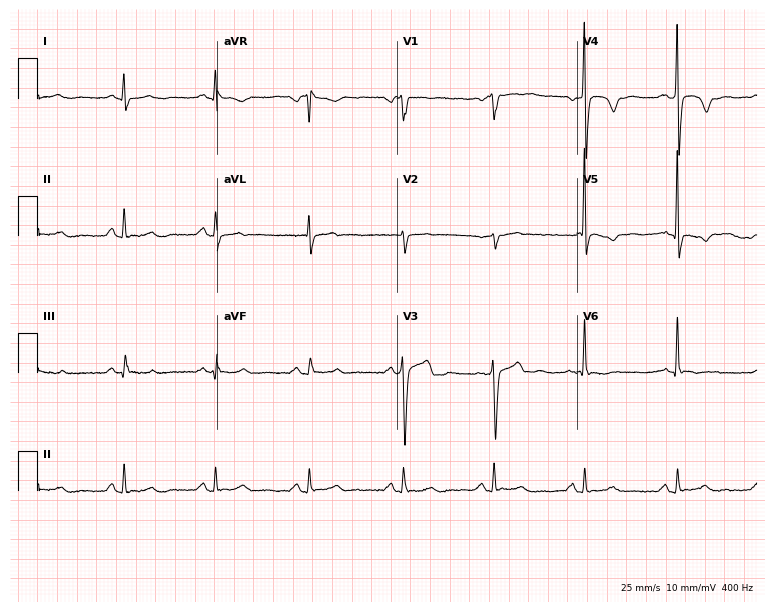
Electrocardiogram, a 62-year-old male patient. Of the six screened findings (first-degree AV block, right bundle branch block (RBBB), left bundle branch block (LBBB), sinus bradycardia, atrial fibrillation (AF), sinus tachycardia), none is recorded. Only these six findings were labelled.